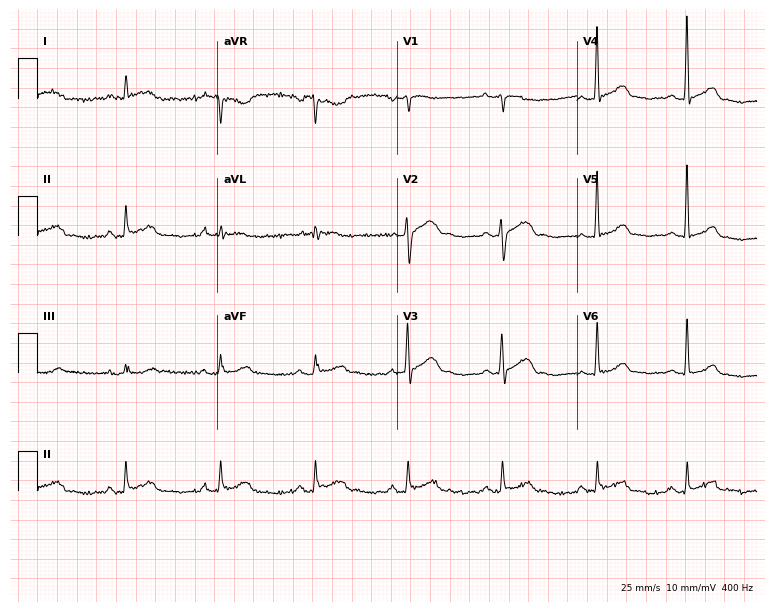
12-lead ECG from a 33-year-old male patient (7.3-second recording at 400 Hz). Recorded interpretation: within normal limits.